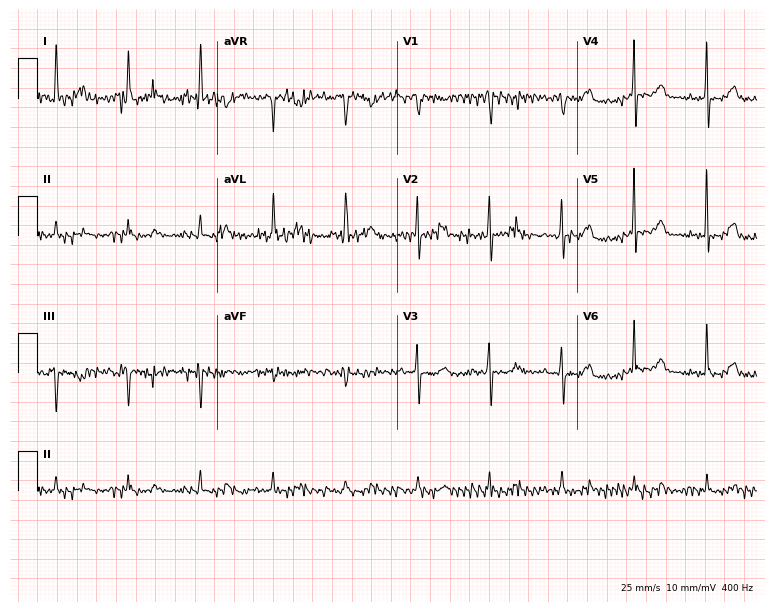
ECG (7.3-second recording at 400 Hz) — a female patient, 76 years old. Screened for six findings — first-degree AV block, right bundle branch block, left bundle branch block, sinus bradycardia, atrial fibrillation, sinus tachycardia — none is recorded. Findings outside these six are not listed.